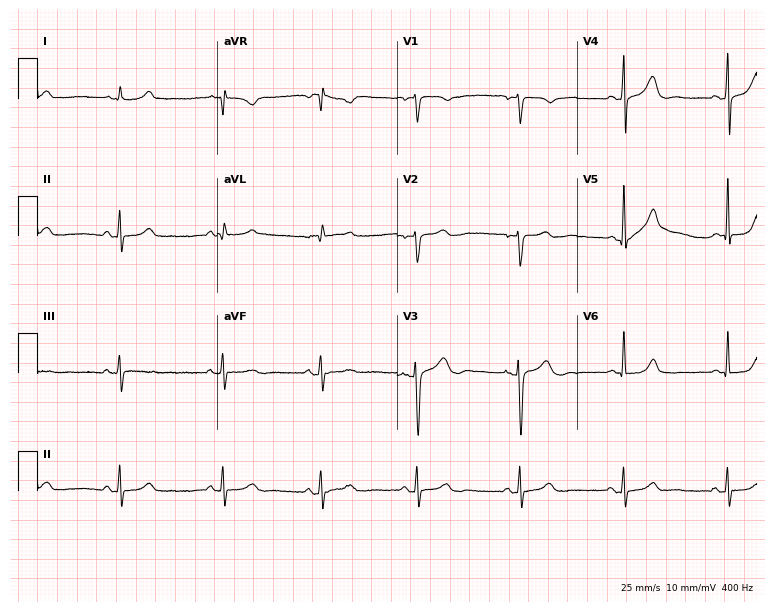
12-lead ECG (7.3-second recording at 400 Hz) from a woman, 44 years old. Labelled as a normal ECG.